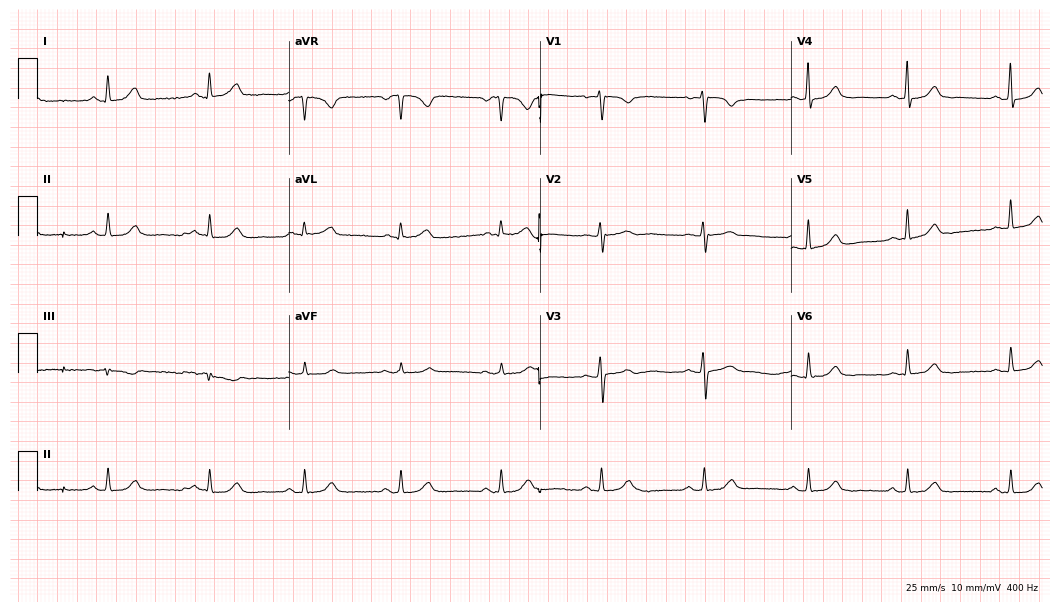
Electrocardiogram, a female, 44 years old. Of the six screened findings (first-degree AV block, right bundle branch block, left bundle branch block, sinus bradycardia, atrial fibrillation, sinus tachycardia), none is recorded. Other findings, if any, are not listed.